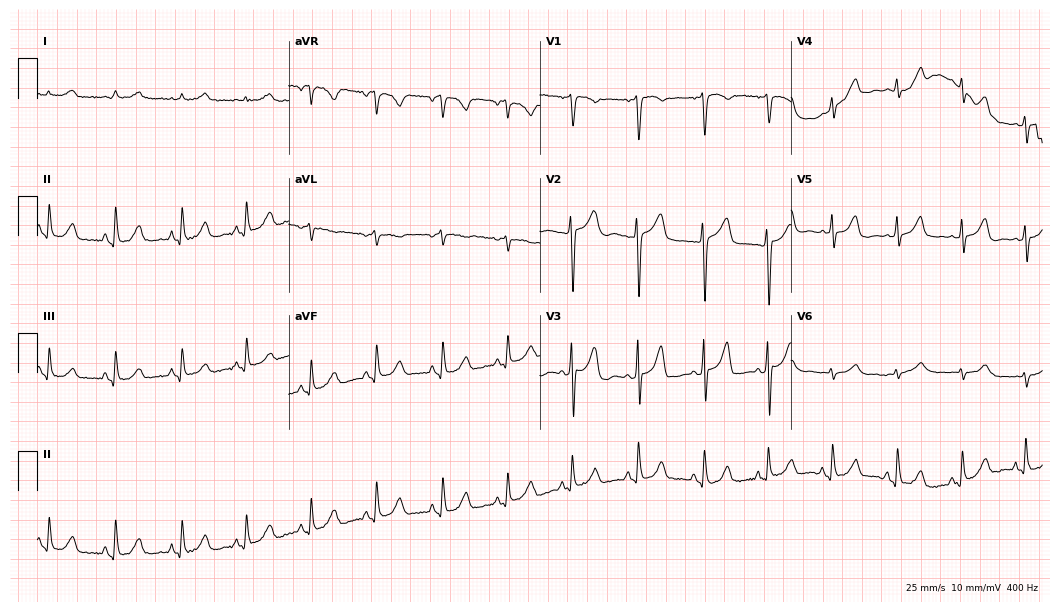
12-lead ECG from a woman, 79 years old (10.2-second recording at 400 Hz). No first-degree AV block, right bundle branch block, left bundle branch block, sinus bradycardia, atrial fibrillation or sinus tachycardia recorded for this tracing.